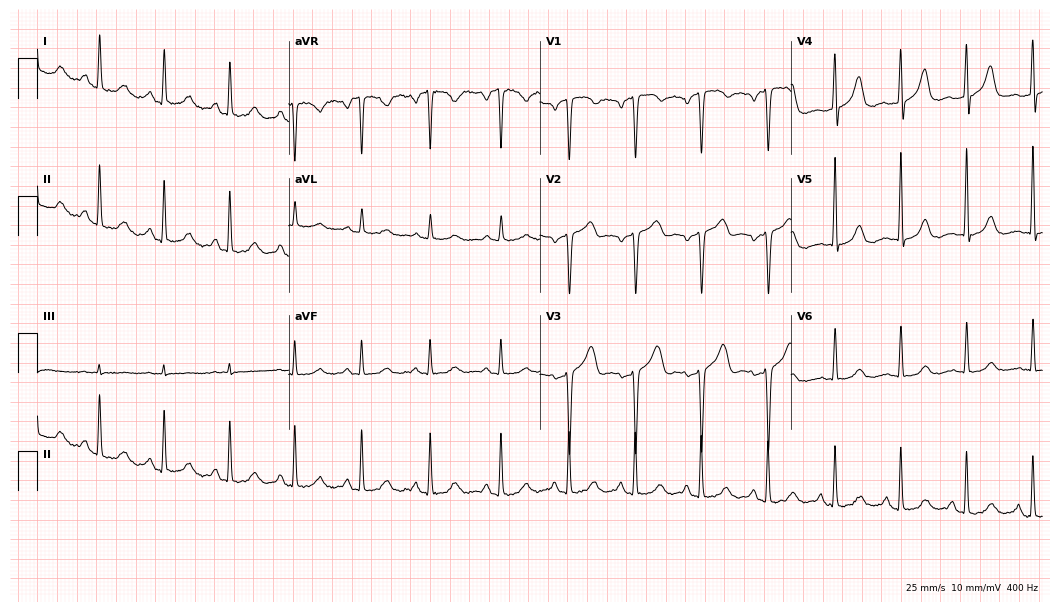
12-lead ECG from a 65-year-old female patient. Labelled as a normal ECG.